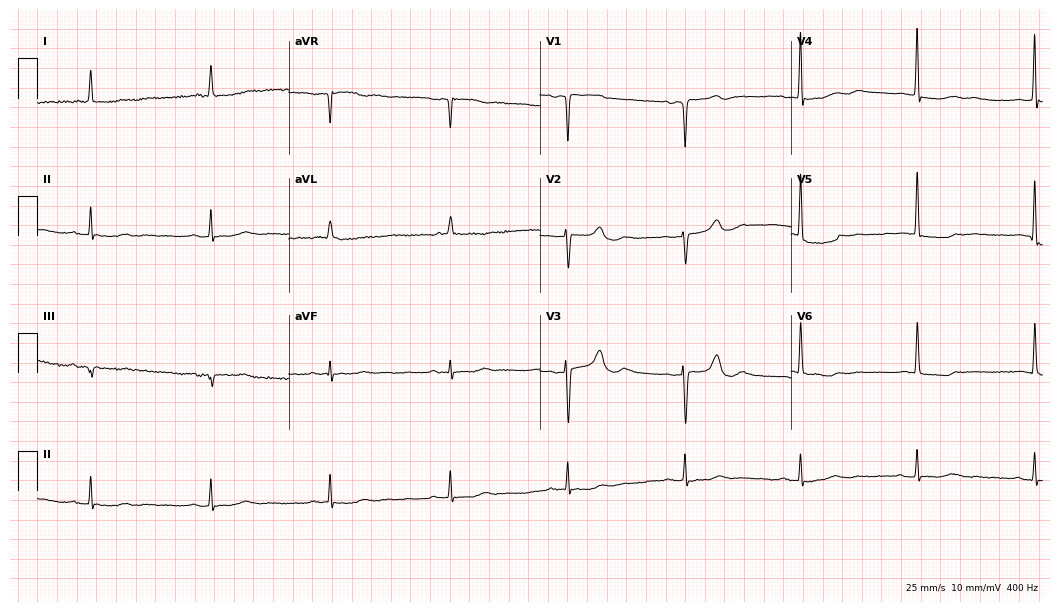
ECG — an 86-year-old woman. Findings include sinus bradycardia (a sinus rate of 50 beats per minute or less).